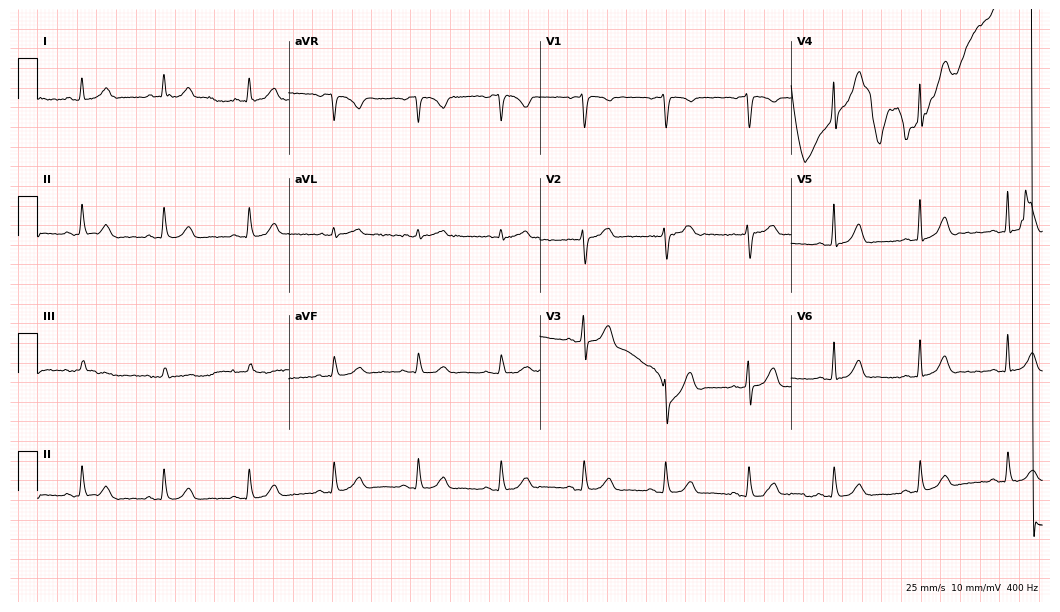
12-lead ECG (10.2-second recording at 400 Hz) from a 43-year-old man. Labelled as a normal ECG.